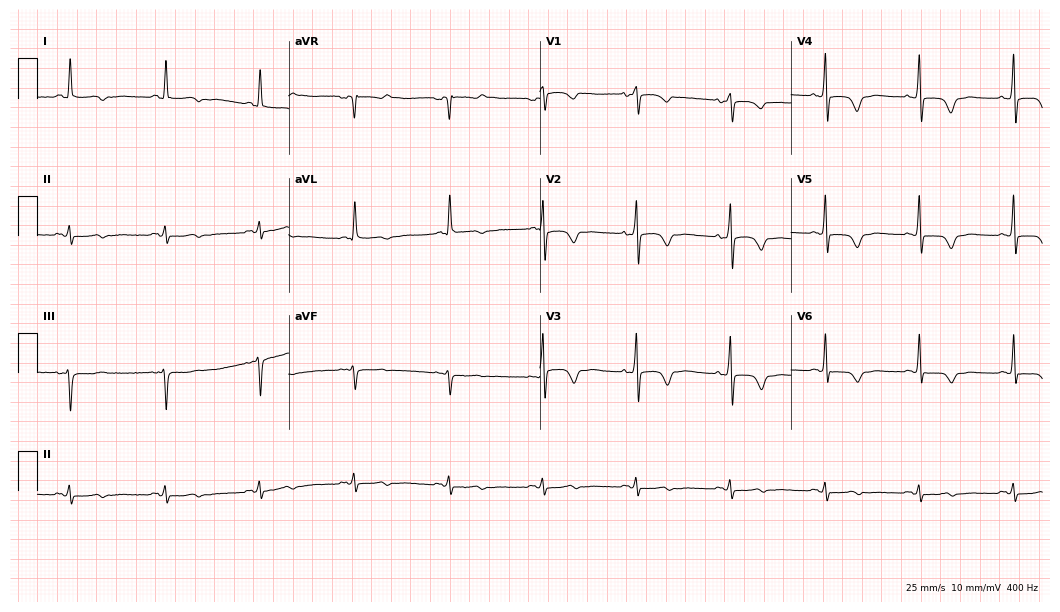
12-lead ECG from a female, 80 years old (10.2-second recording at 400 Hz). No first-degree AV block, right bundle branch block, left bundle branch block, sinus bradycardia, atrial fibrillation or sinus tachycardia recorded for this tracing.